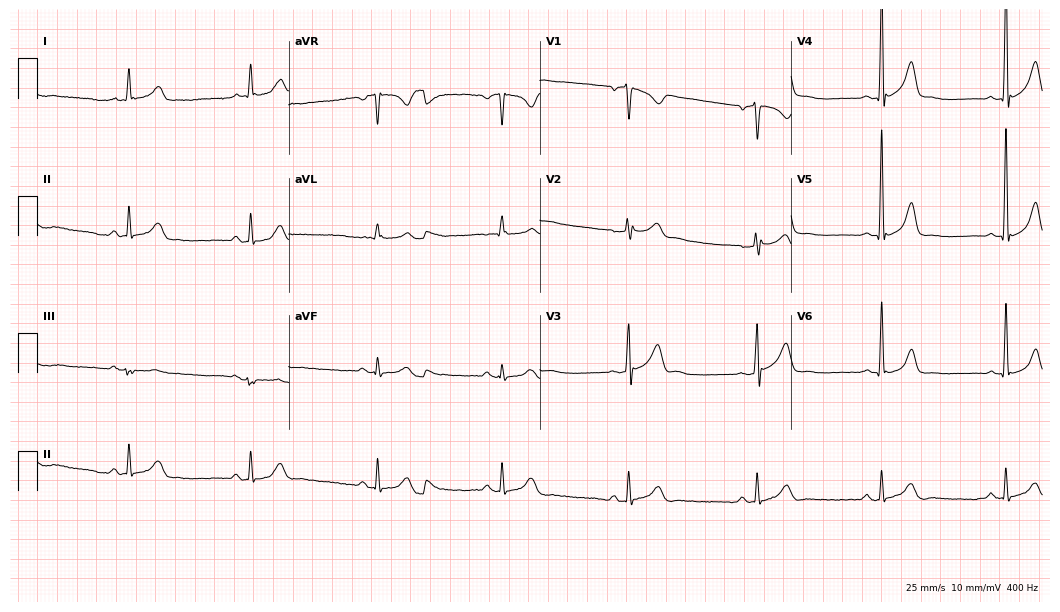
Resting 12-lead electrocardiogram. Patient: a 37-year-old male. The tracing shows sinus bradycardia (a sinus rate of 50 beats per minute or less).